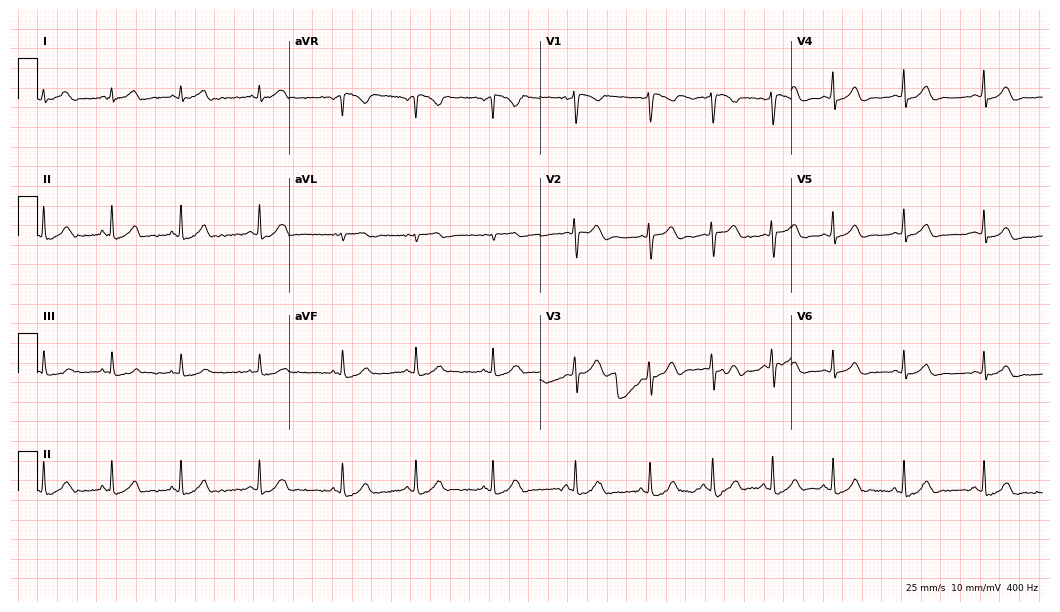
Standard 12-lead ECG recorded from a female, 18 years old. None of these six findings is recorded: first-degree AV block, right bundle branch block, left bundle branch block, sinus bradycardia, atrial fibrillation, sinus tachycardia. Other findings, if any, are not listed.